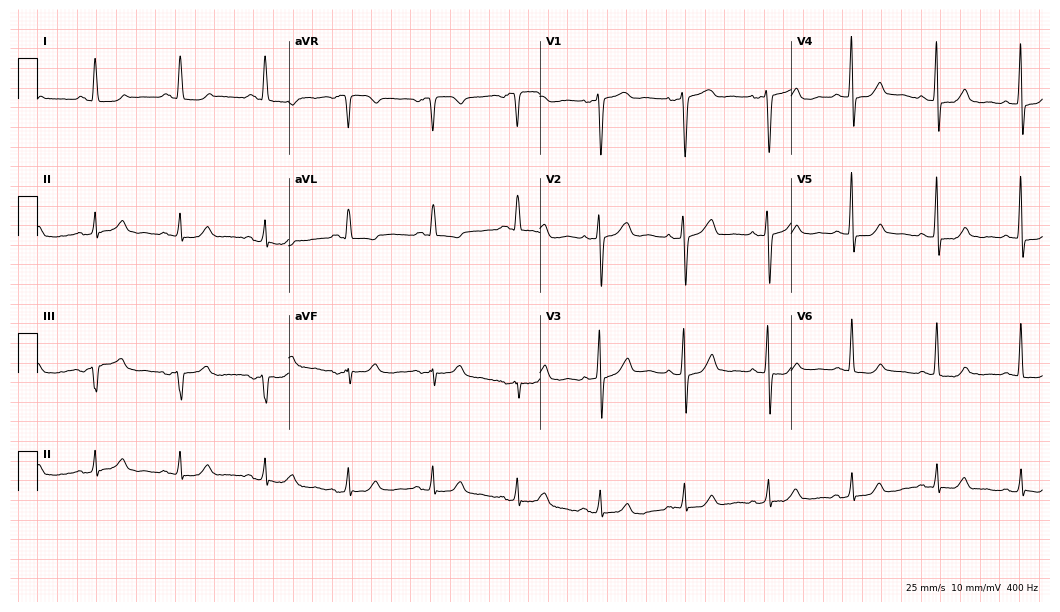
ECG — a female patient, 70 years old. Labelled as a normal ECG.